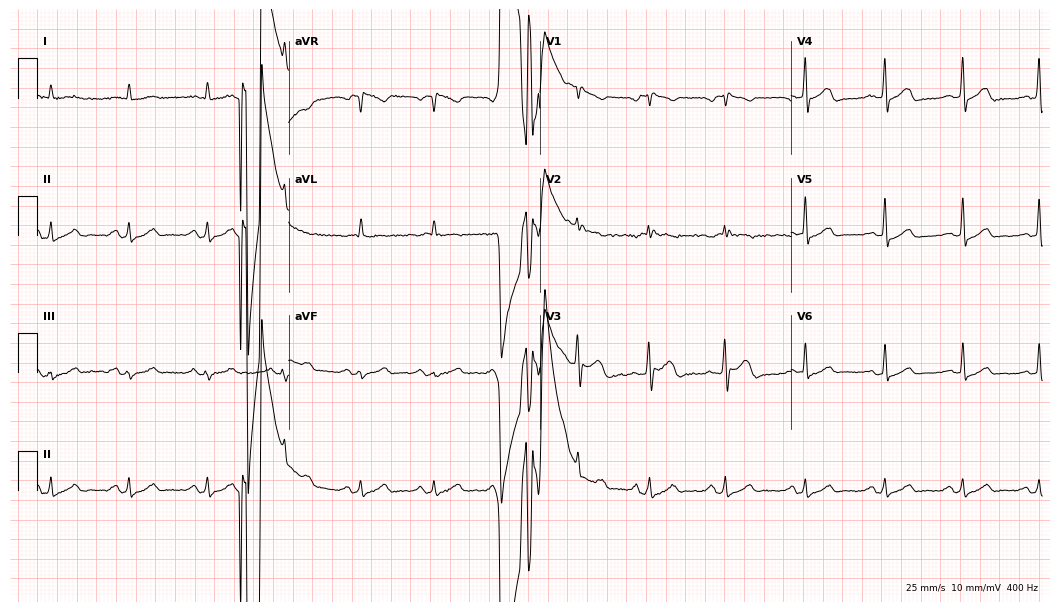
12-lead ECG (10.2-second recording at 400 Hz) from a 53-year-old man. Screened for six findings — first-degree AV block, right bundle branch block (RBBB), left bundle branch block (LBBB), sinus bradycardia, atrial fibrillation (AF), sinus tachycardia — none is recorded. Findings outside these six are not listed.